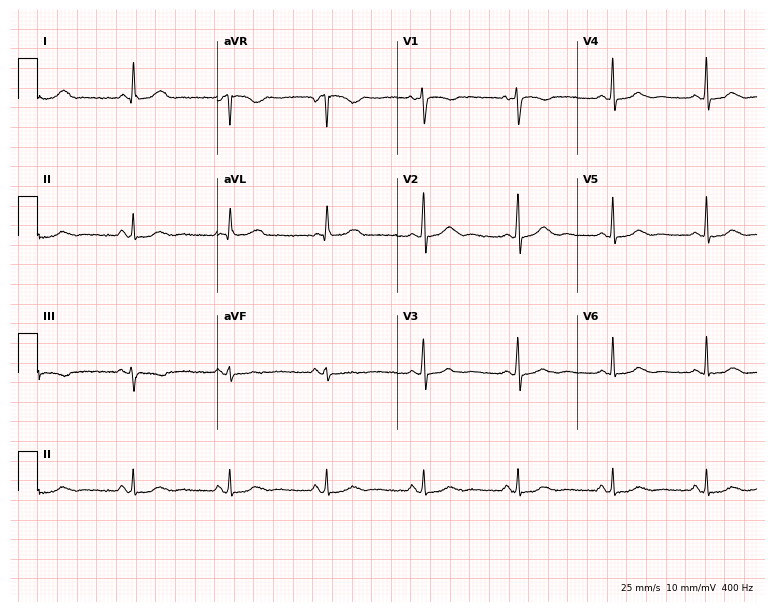
Electrocardiogram, a woman, 51 years old. Of the six screened findings (first-degree AV block, right bundle branch block (RBBB), left bundle branch block (LBBB), sinus bradycardia, atrial fibrillation (AF), sinus tachycardia), none is recorded. Findings outside these six are not listed.